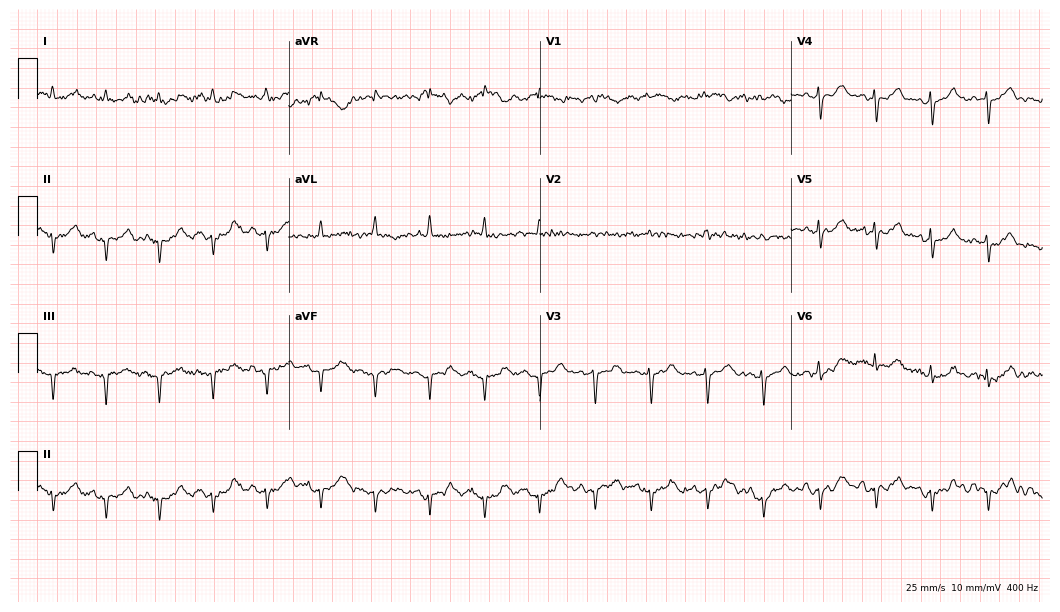
12-lead ECG from an 83-year-old woman. Screened for six findings — first-degree AV block, right bundle branch block, left bundle branch block, sinus bradycardia, atrial fibrillation, sinus tachycardia — none is recorded. Only these six findings were labelled.